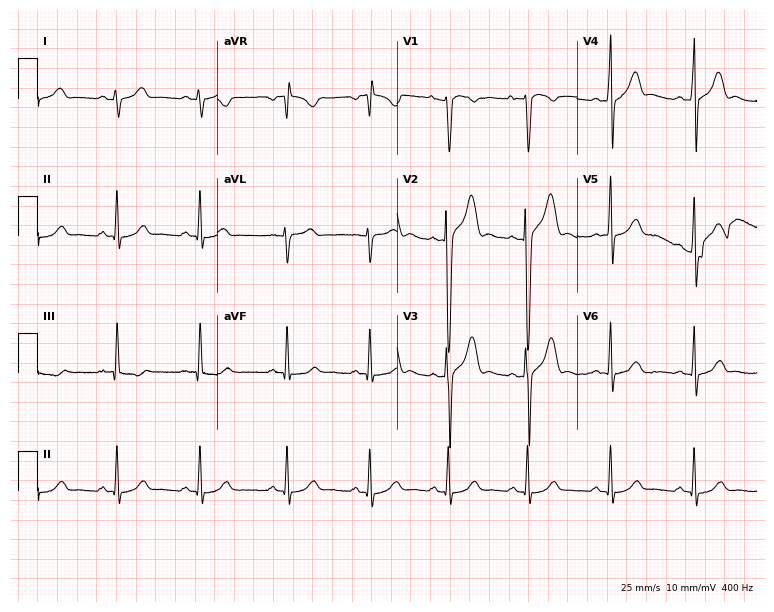
Electrocardiogram, a 30-year-old man. Of the six screened findings (first-degree AV block, right bundle branch block, left bundle branch block, sinus bradycardia, atrial fibrillation, sinus tachycardia), none is recorded. Only these six findings were labelled.